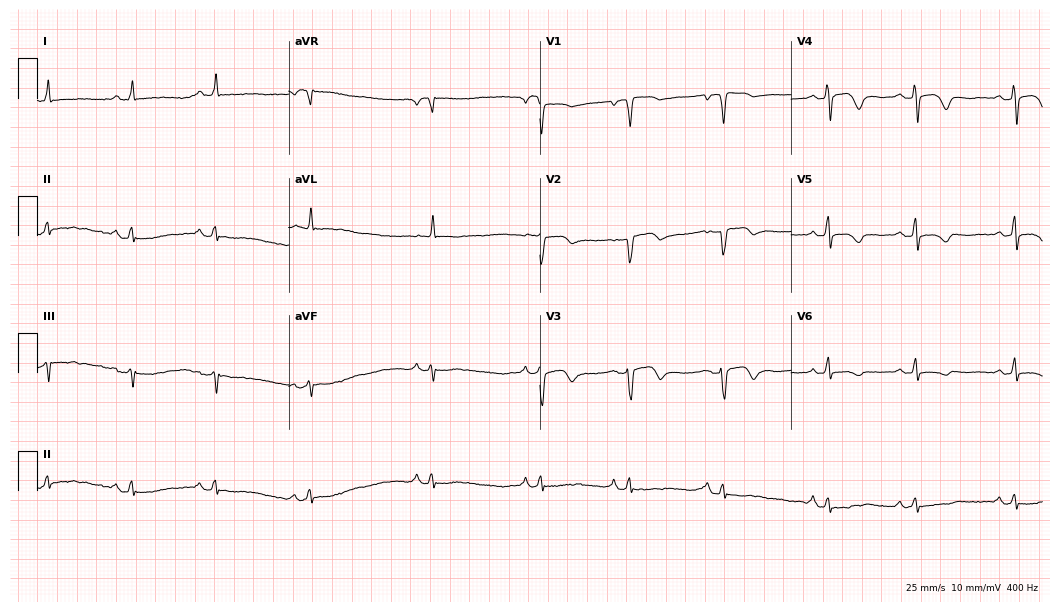
Electrocardiogram, an 84-year-old female patient. Of the six screened findings (first-degree AV block, right bundle branch block (RBBB), left bundle branch block (LBBB), sinus bradycardia, atrial fibrillation (AF), sinus tachycardia), none is recorded. Findings outside these six are not listed.